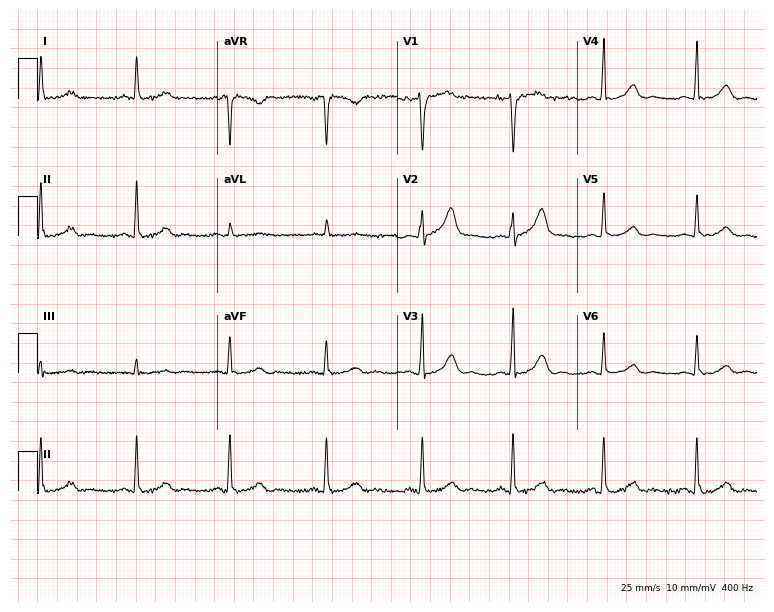
Electrocardiogram (7.3-second recording at 400 Hz), a female patient, 55 years old. Overall reading on record: normal ECG.